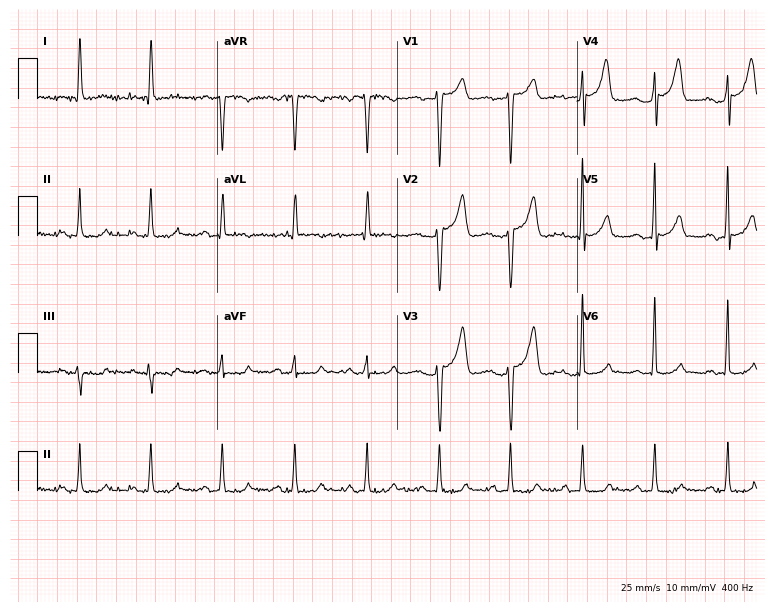
Resting 12-lead electrocardiogram (7.3-second recording at 400 Hz). Patient: an 84-year-old female. None of these six findings is recorded: first-degree AV block, right bundle branch block, left bundle branch block, sinus bradycardia, atrial fibrillation, sinus tachycardia.